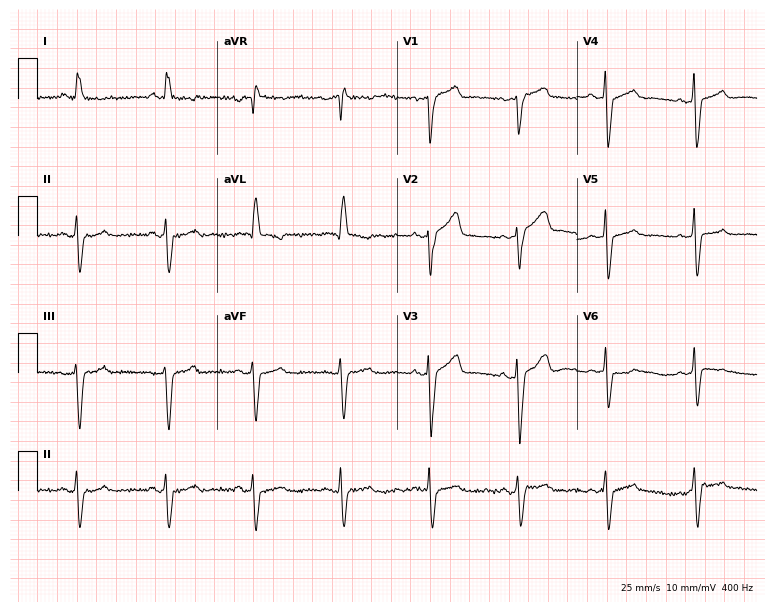
12-lead ECG from a 78-year-old male patient. Screened for six findings — first-degree AV block, right bundle branch block, left bundle branch block, sinus bradycardia, atrial fibrillation, sinus tachycardia — none is recorded. Findings outside these six are not listed.